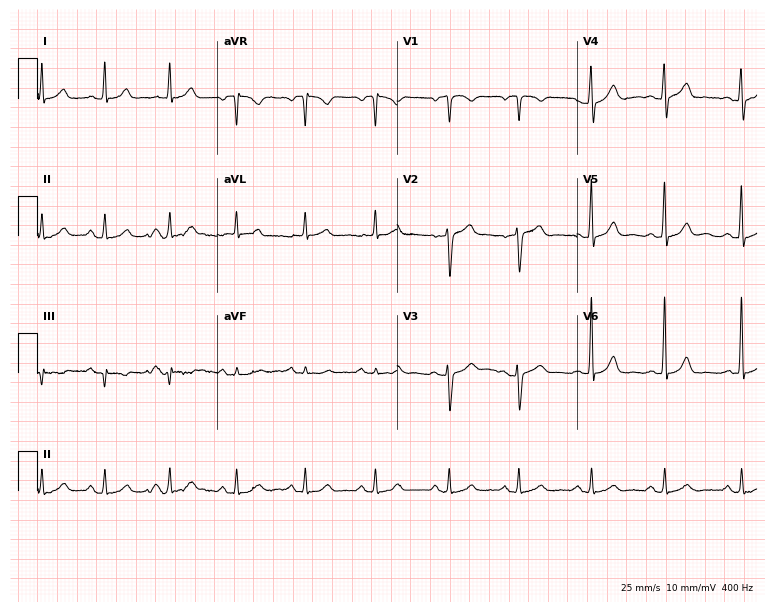
Resting 12-lead electrocardiogram (7.3-second recording at 400 Hz). Patient: a 64-year-old male. Read as a normal ECG.